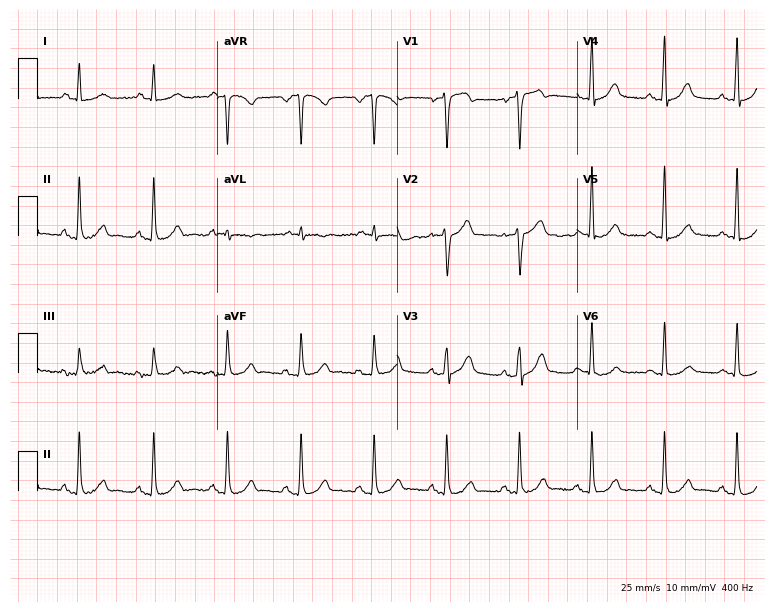
Electrocardiogram (7.3-second recording at 400 Hz), a 66-year-old male patient. Overall reading on record: normal ECG.